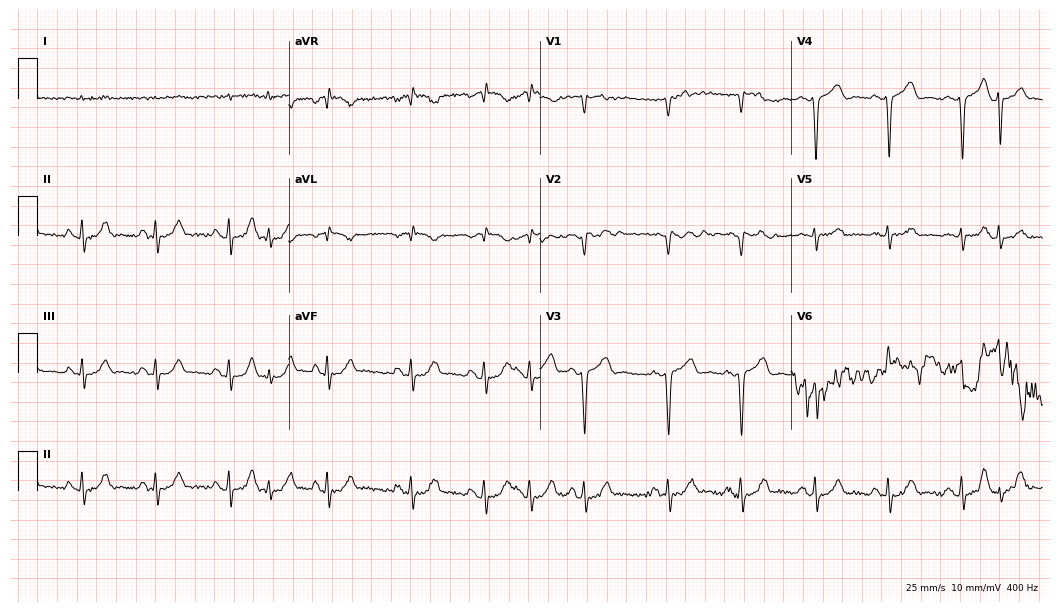
ECG (10.2-second recording at 400 Hz) — a female patient, 26 years old. Screened for six findings — first-degree AV block, right bundle branch block, left bundle branch block, sinus bradycardia, atrial fibrillation, sinus tachycardia — none is recorded. Findings outside these six are not listed.